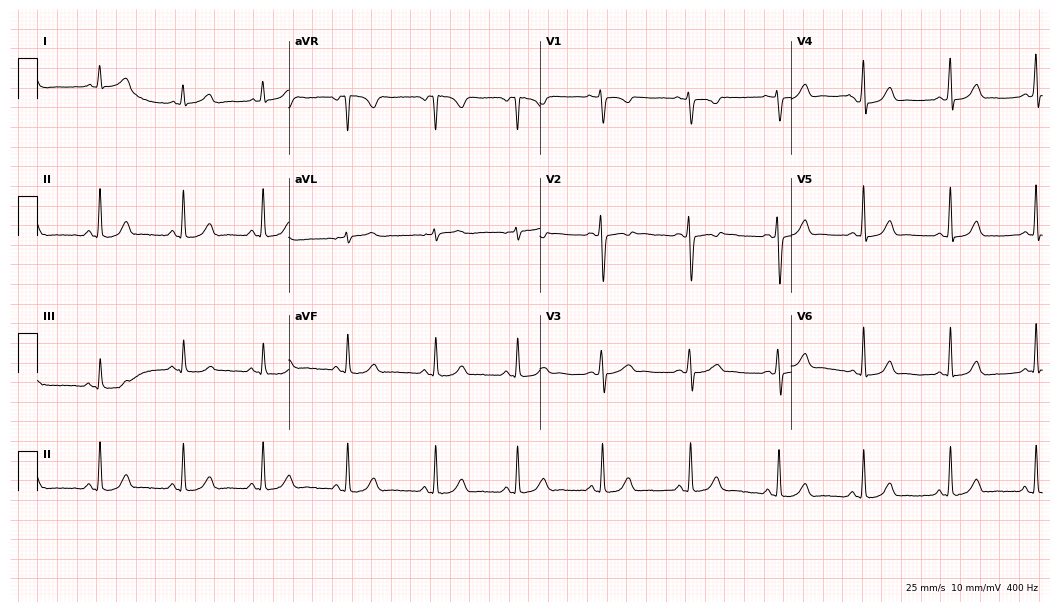
12-lead ECG (10.2-second recording at 400 Hz) from a female, 32 years old. Labelled as a normal ECG.